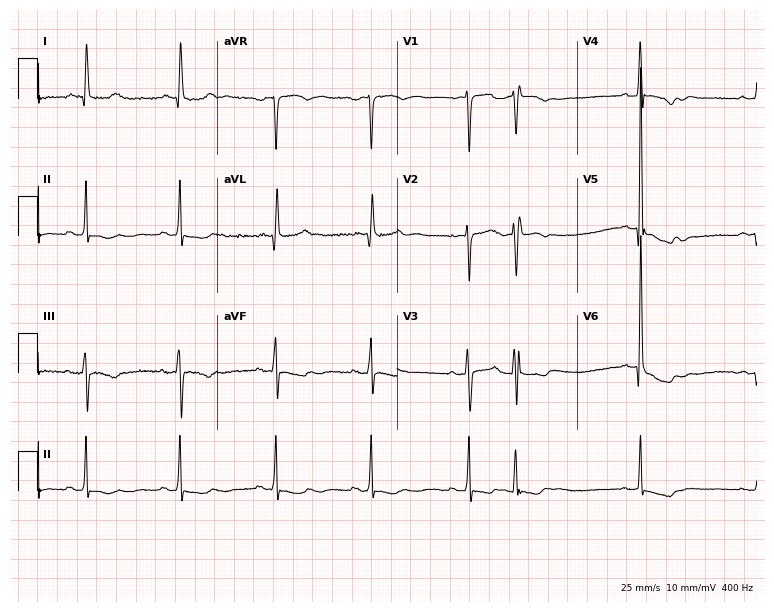
Electrocardiogram (7.3-second recording at 400 Hz), a 63-year-old female patient. Overall reading on record: normal ECG.